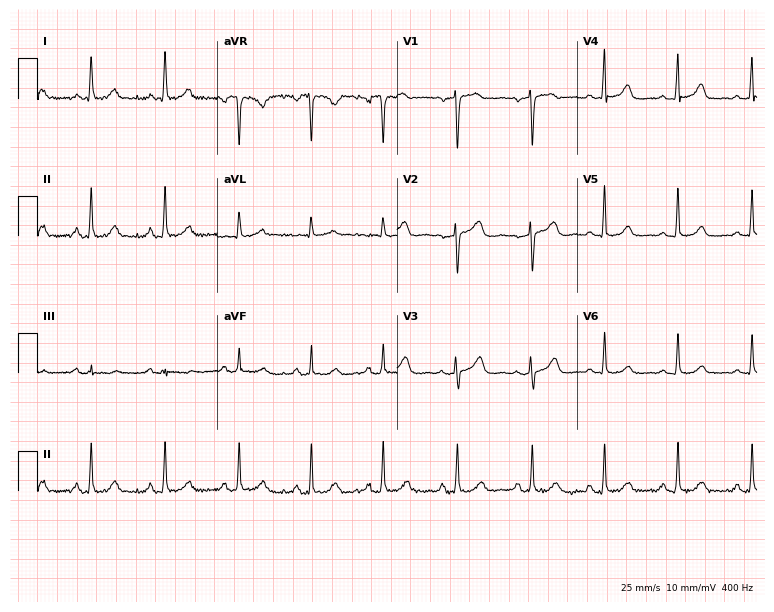
Resting 12-lead electrocardiogram. Patient: a 57-year-old female. None of these six findings is recorded: first-degree AV block, right bundle branch block (RBBB), left bundle branch block (LBBB), sinus bradycardia, atrial fibrillation (AF), sinus tachycardia. Findings outside these six are not listed.